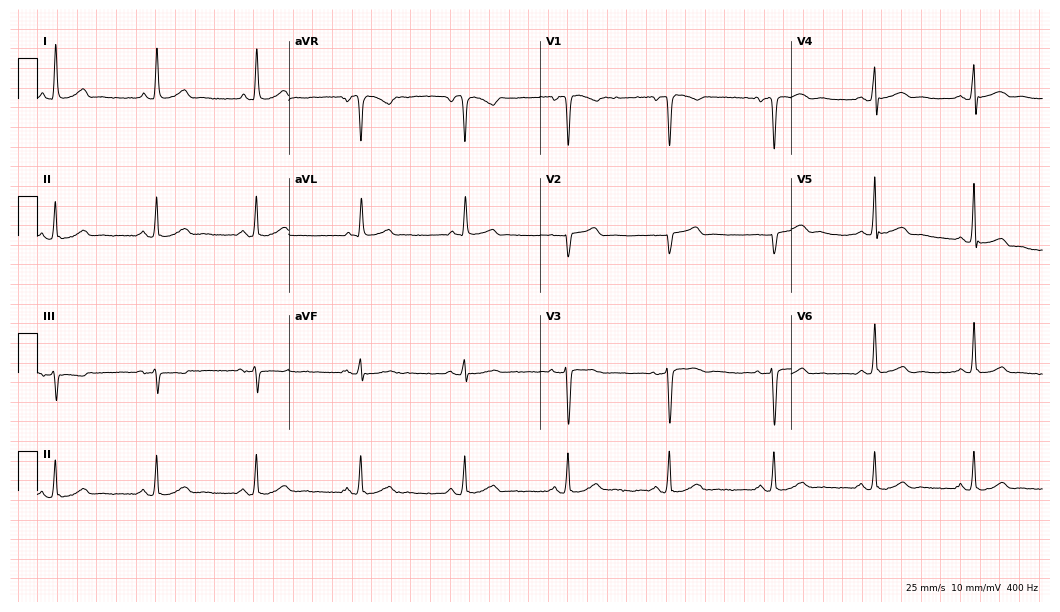
ECG (10.2-second recording at 400 Hz) — a woman, 63 years old. Screened for six findings — first-degree AV block, right bundle branch block, left bundle branch block, sinus bradycardia, atrial fibrillation, sinus tachycardia — none is recorded. Other findings, if any, are not listed.